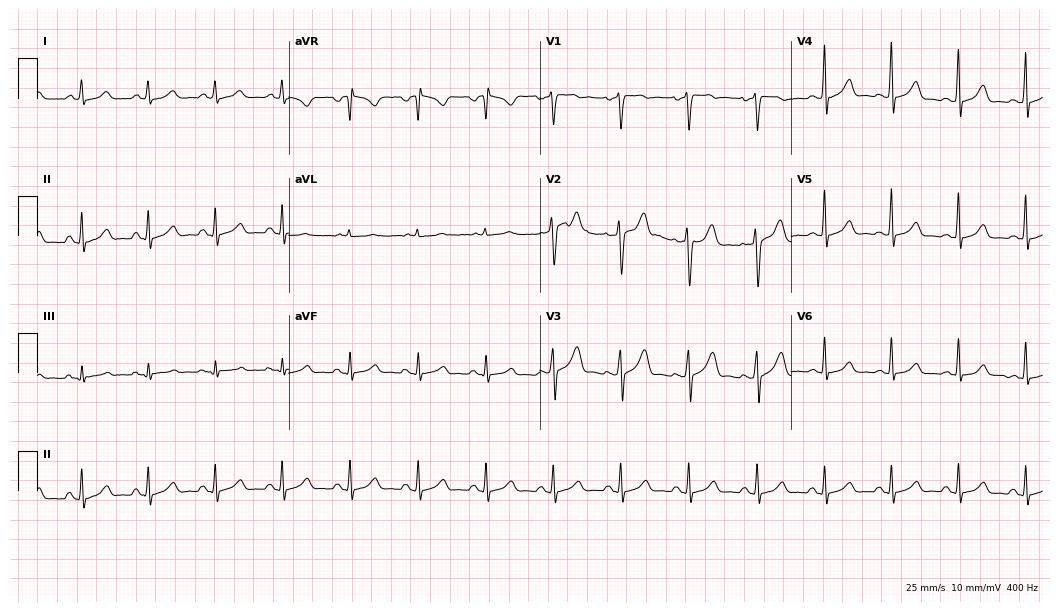
Standard 12-lead ECG recorded from a female patient, 32 years old. Read as a normal ECG.